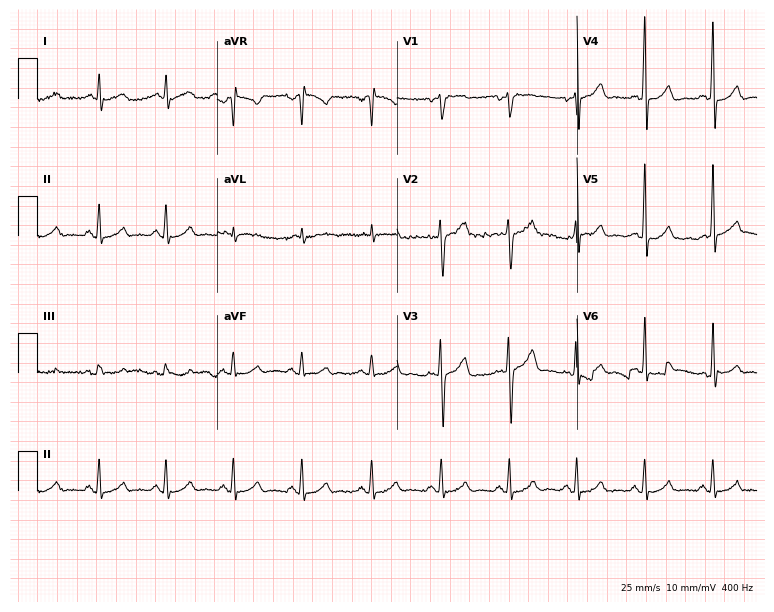
12-lead ECG from a 54-year-old male patient (7.3-second recording at 400 Hz). Recorded interpretation: within normal limits.